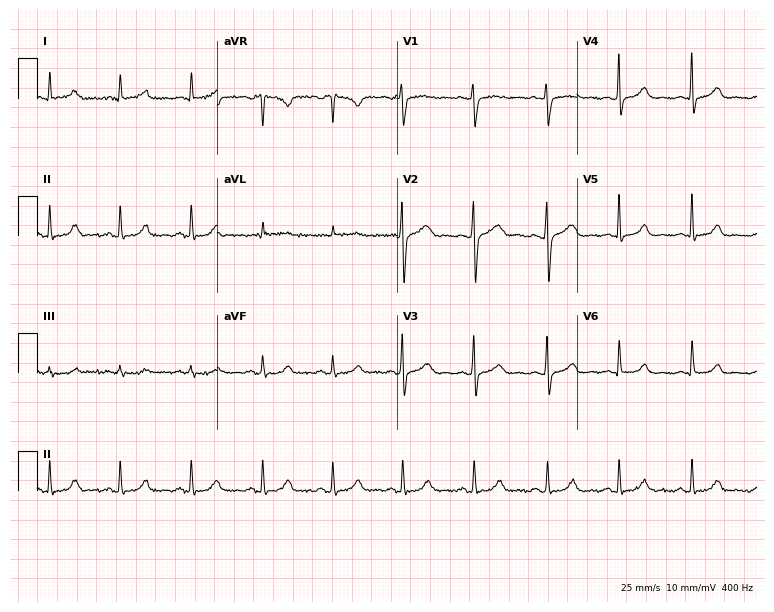
12-lead ECG (7.3-second recording at 400 Hz) from a 32-year-old woman. Labelled as a normal ECG.